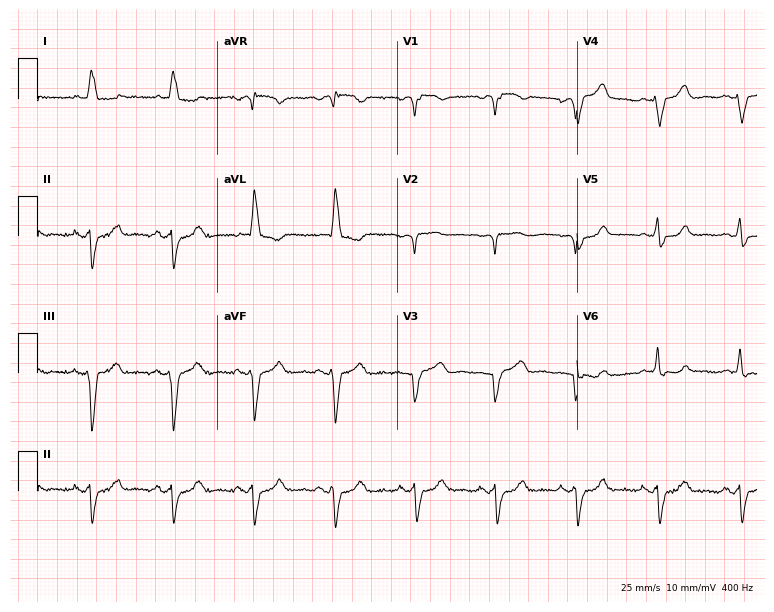
12-lead ECG (7.3-second recording at 400 Hz) from a 67-year-old male patient. Screened for six findings — first-degree AV block, right bundle branch block, left bundle branch block, sinus bradycardia, atrial fibrillation, sinus tachycardia — none is recorded.